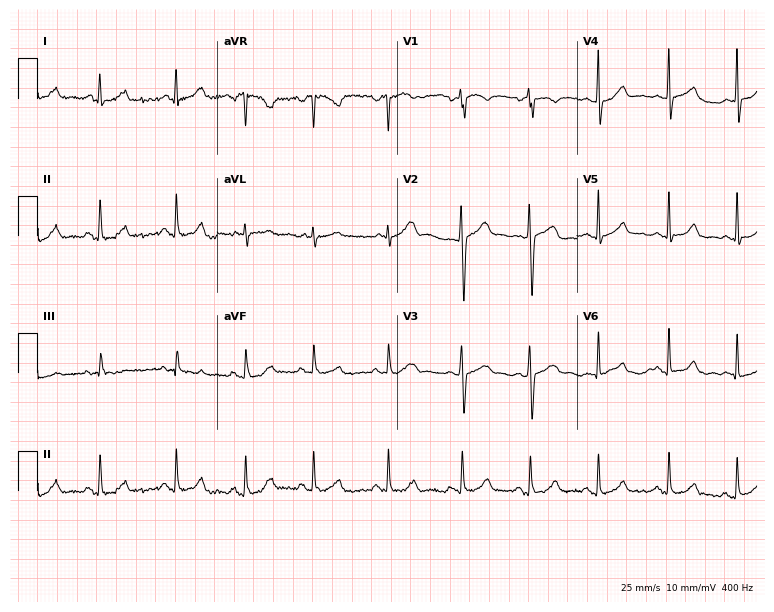
Resting 12-lead electrocardiogram (7.3-second recording at 400 Hz). Patient: a 20-year-old woman. Read as a normal ECG.